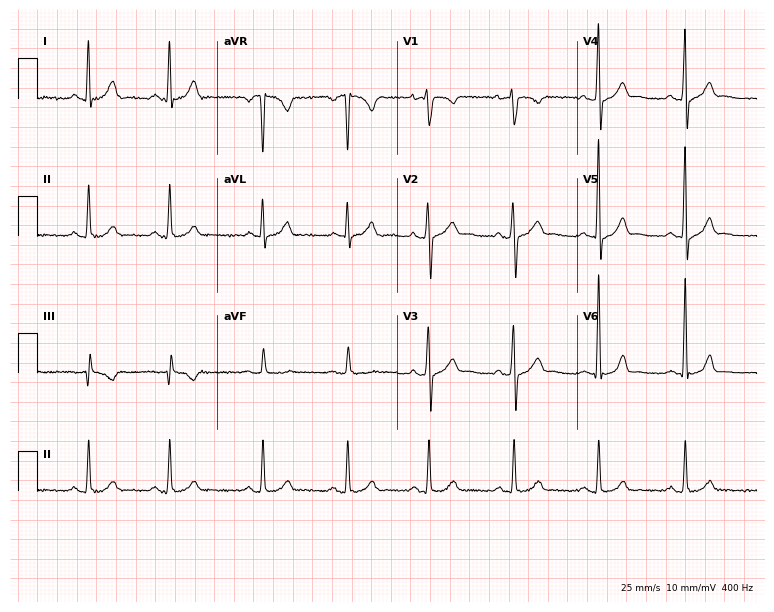
Resting 12-lead electrocardiogram (7.3-second recording at 400 Hz). Patient: a male, 33 years old. Read as a normal ECG.